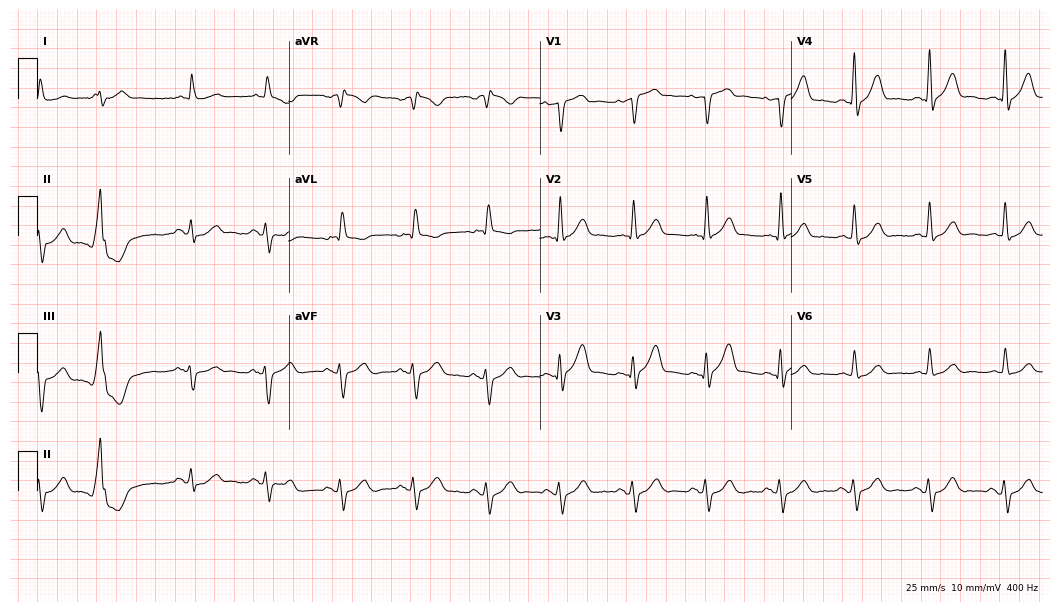
12-lead ECG from a female, 83 years old (10.2-second recording at 400 Hz). No first-degree AV block, right bundle branch block, left bundle branch block, sinus bradycardia, atrial fibrillation or sinus tachycardia recorded for this tracing.